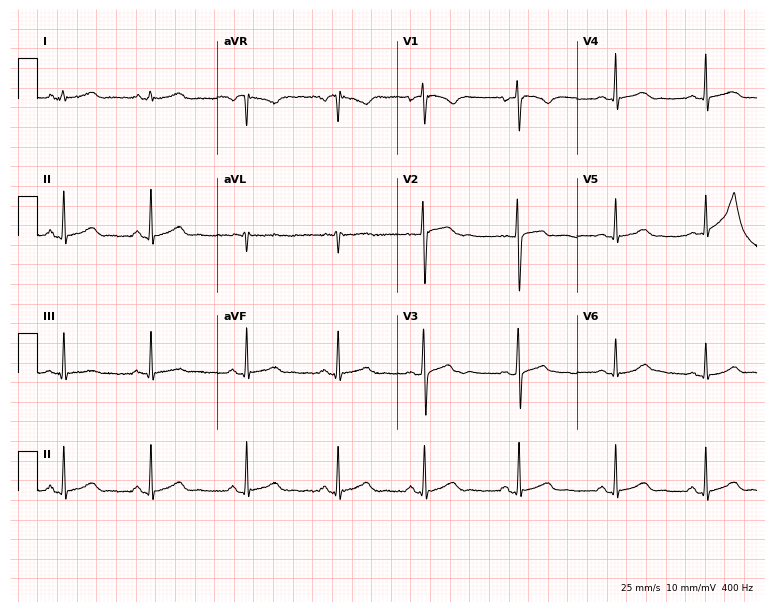
12-lead ECG from a 23-year-old female patient (7.3-second recording at 400 Hz). Recorded interpretation: within normal limits.